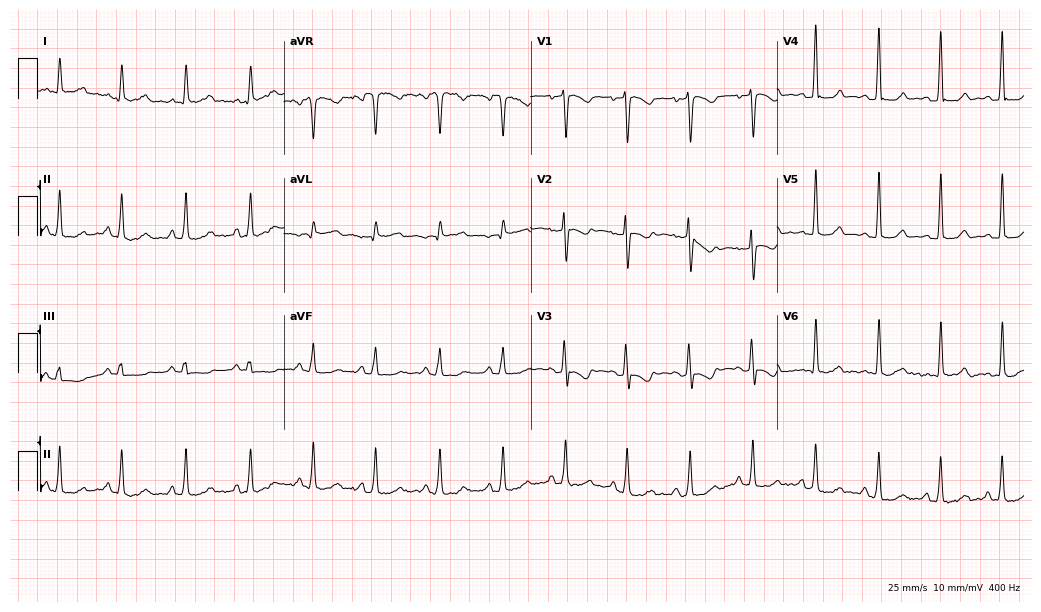
Electrocardiogram, a 33-year-old woman. Overall reading on record: normal ECG.